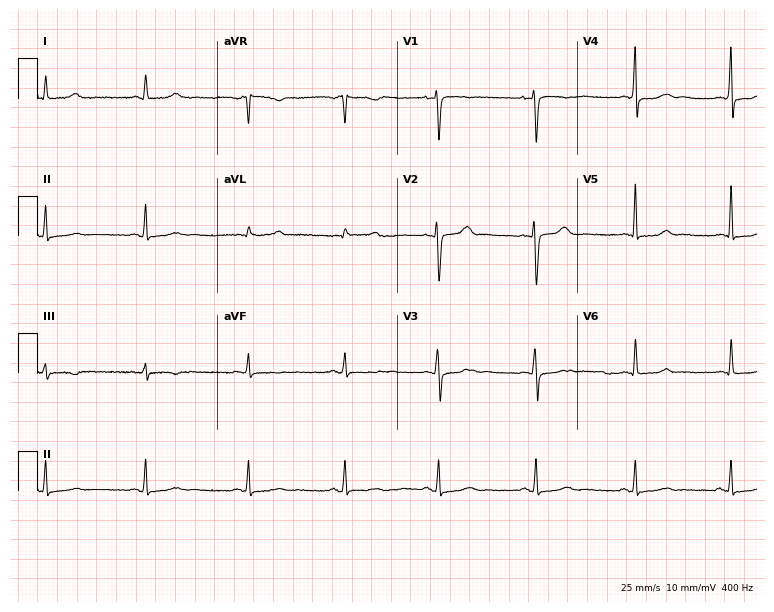
Resting 12-lead electrocardiogram (7.3-second recording at 400 Hz). Patient: a 41-year-old woman. None of these six findings is recorded: first-degree AV block, right bundle branch block, left bundle branch block, sinus bradycardia, atrial fibrillation, sinus tachycardia. Only these six findings were labelled.